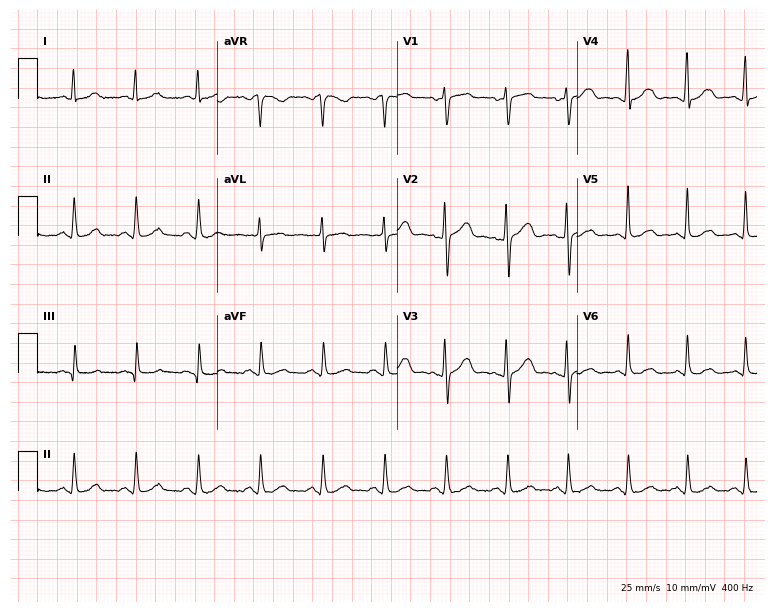
ECG — a 64-year-old female patient. Labelled as a normal ECG.